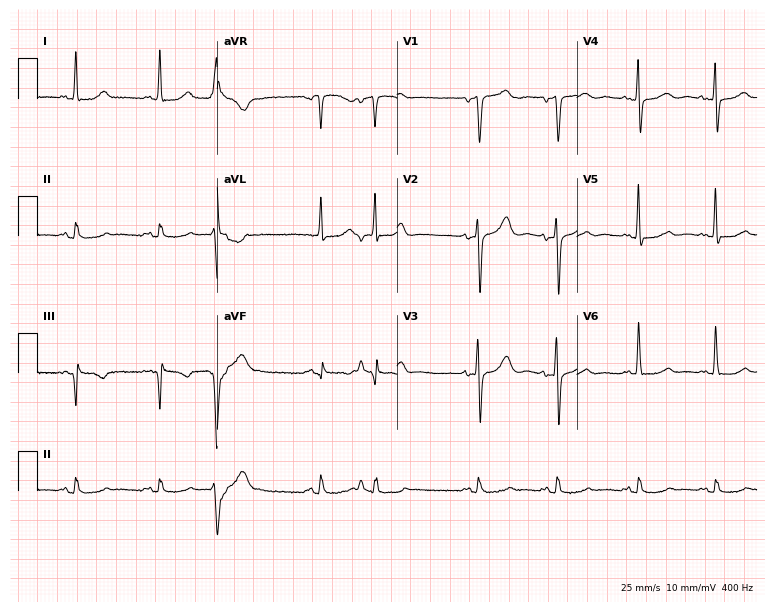
Electrocardiogram (7.3-second recording at 400 Hz), a female, 83 years old. Of the six screened findings (first-degree AV block, right bundle branch block, left bundle branch block, sinus bradycardia, atrial fibrillation, sinus tachycardia), none is recorded. Only these six findings were labelled.